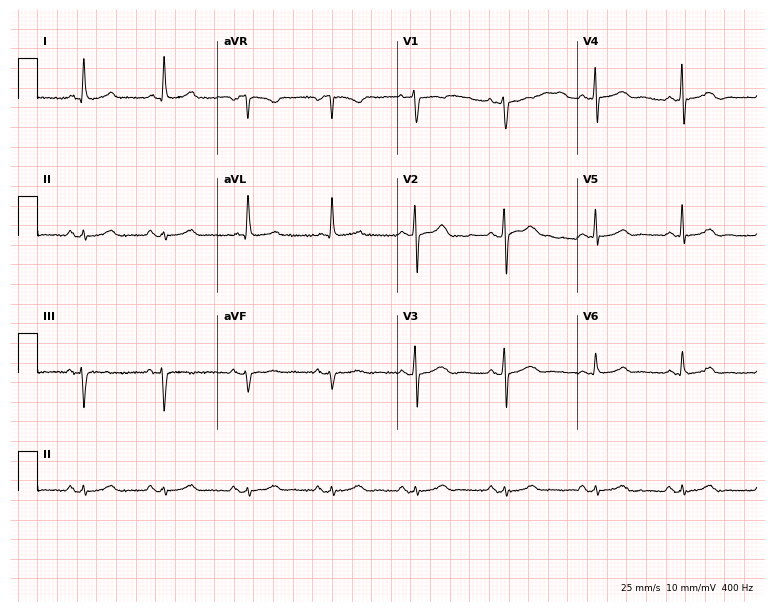
12-lead ECG from a female patient, 60 years old (7.3-second recording at 400 Hz). No first-degree AV block, right bundle branch block (RBBB), left bundle branch block (LBBB), sinus bradycardia, atrial fibrillation (AF) or sinus tachycardia recorded for this tracing. Findings outside these six are not listed.